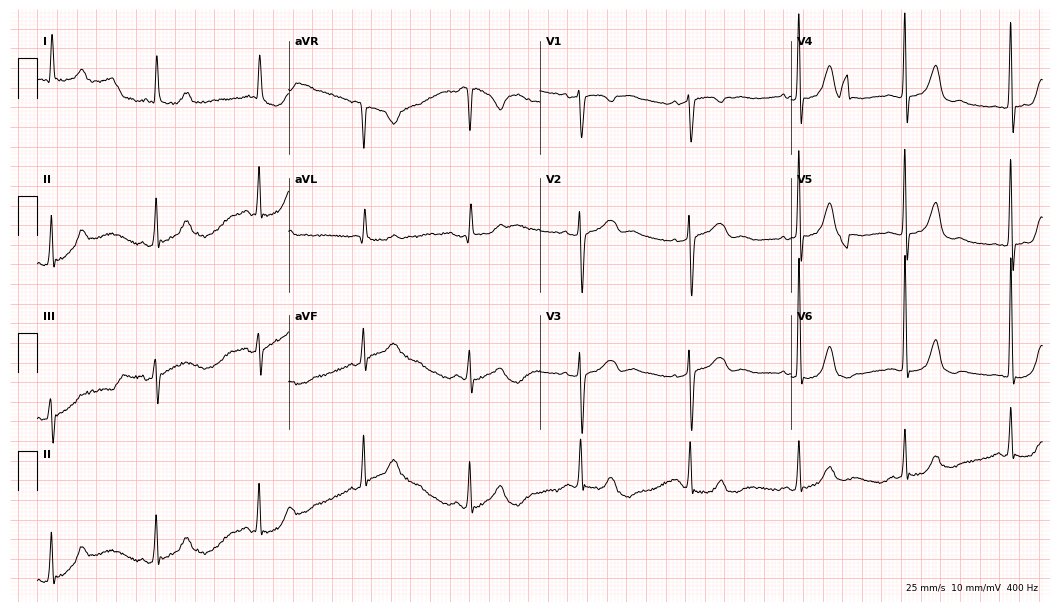
Resting 12-lead electrocardiogram. Patient: a 73-year-old female. Read as a normal ECG.